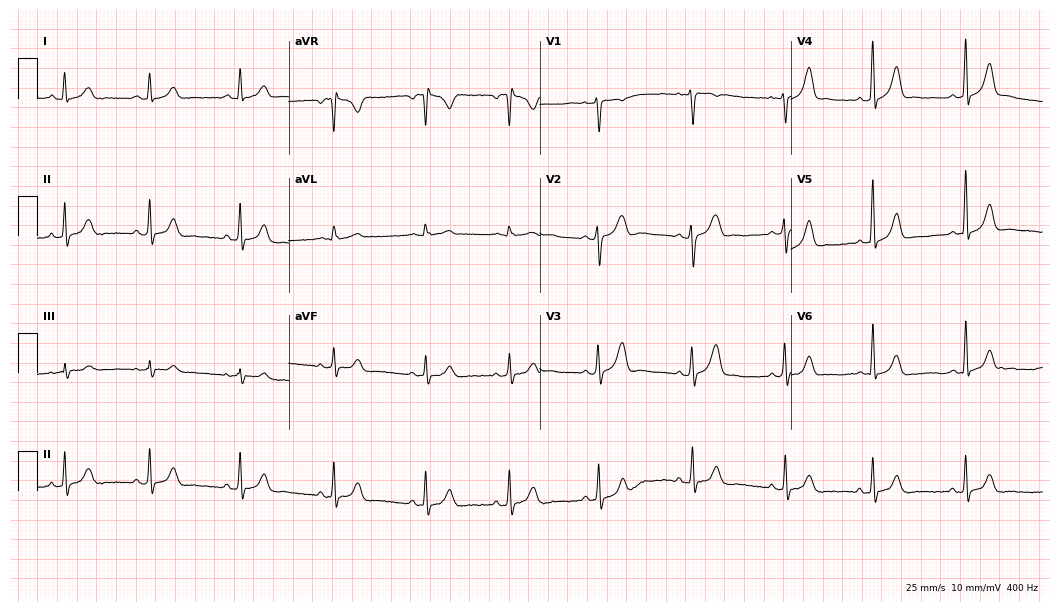
12-lead ECG from a female patient, 32 years old. No first-degree AV block, right bundle branch block (RBBB), left bundle branch block (LBBB), sinus bradycardia, atrial fibrillation (AF) or sinus tachycardia recorded for this tracing.